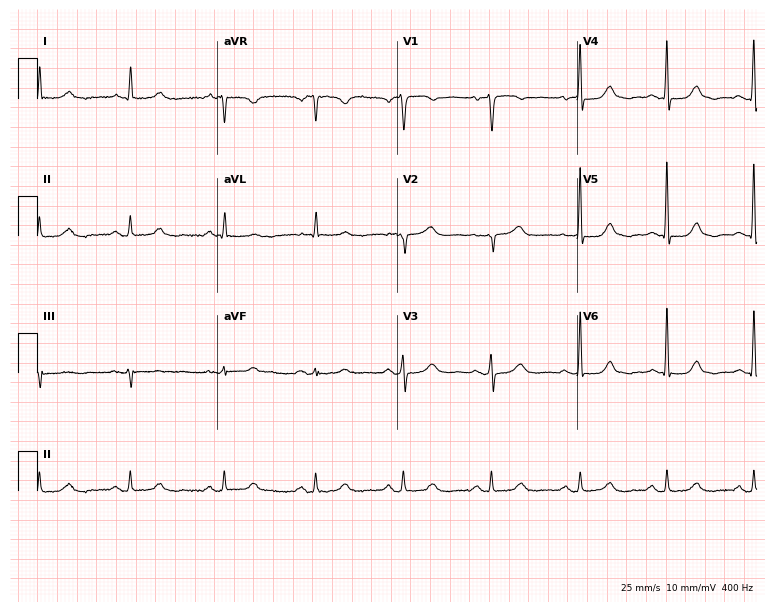
Standard 12-lead ECG recorded from a 71-year-old female patient (7.3-second recording at 400 Hz). Read as a normal ECG.